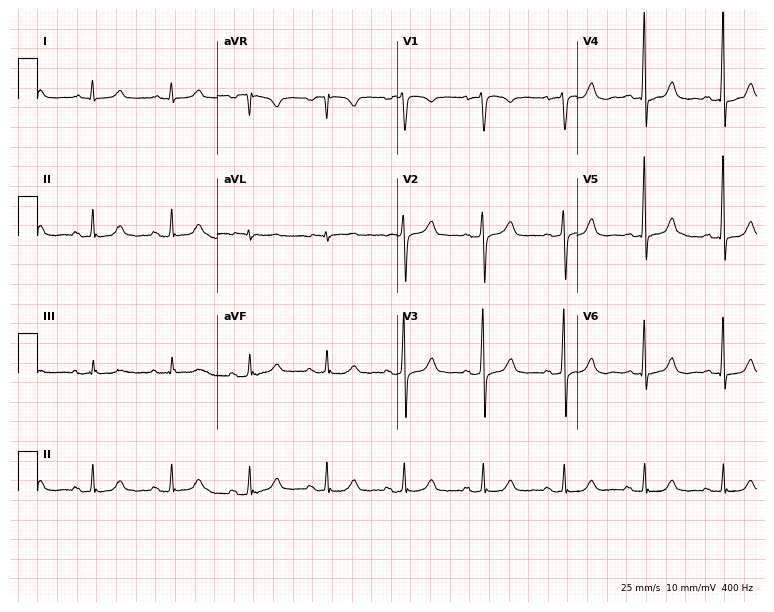
12-lead ECG (7.3-second recording at 400 Hz) from a 74-year-old man. Labelled as a normal ECG.